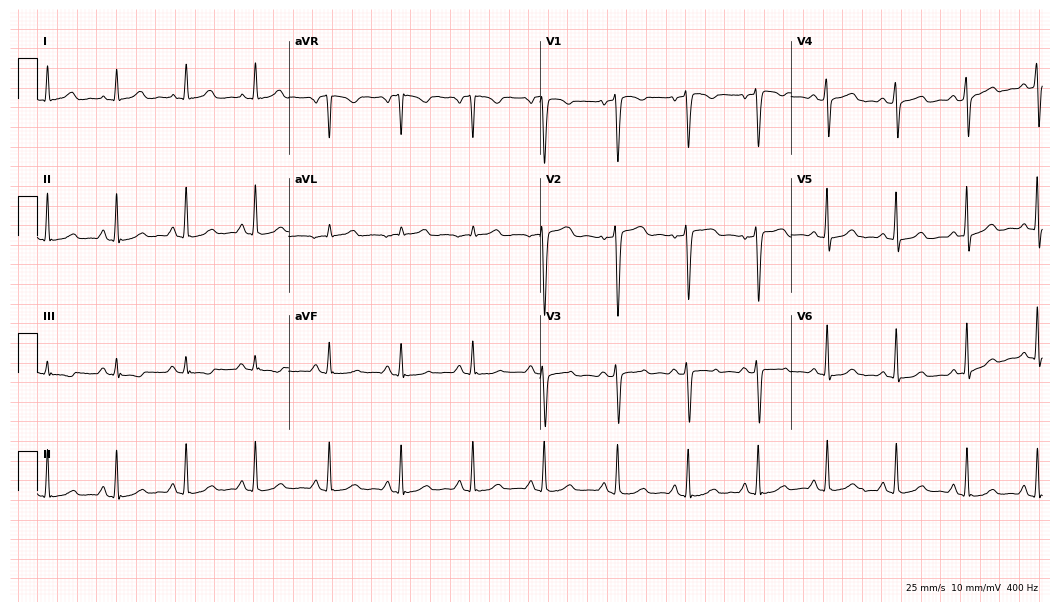
Resting 12-lead electrocardiogram. Patient: a 37-year-old female. Read as a normal ECG.